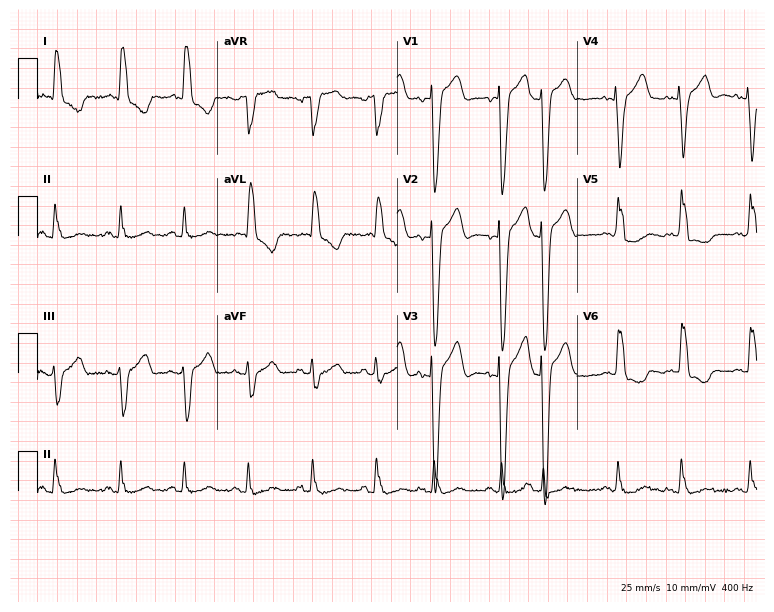
Standard 12-lead ECG recorded from a female patient, 75 years old. The tracing shows left bundle branch block.